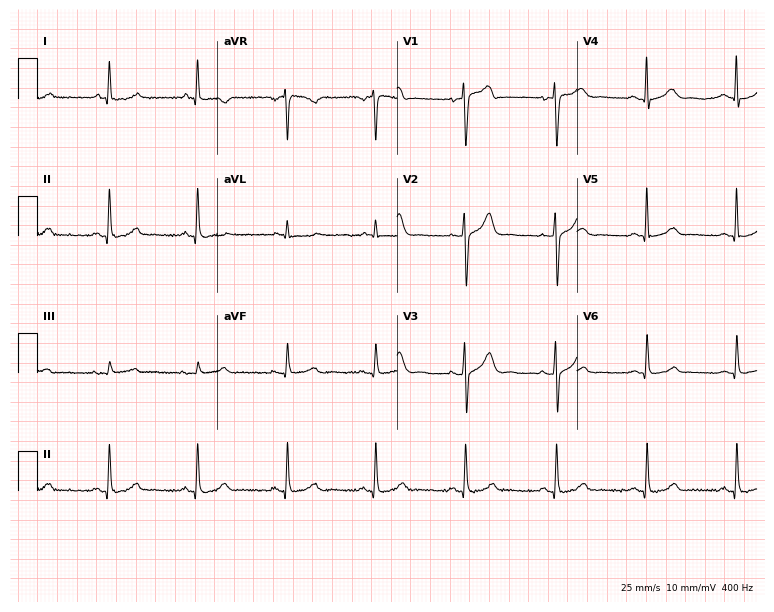
ECG — a female patient, 58 years old. Labelled as a normal ECG.